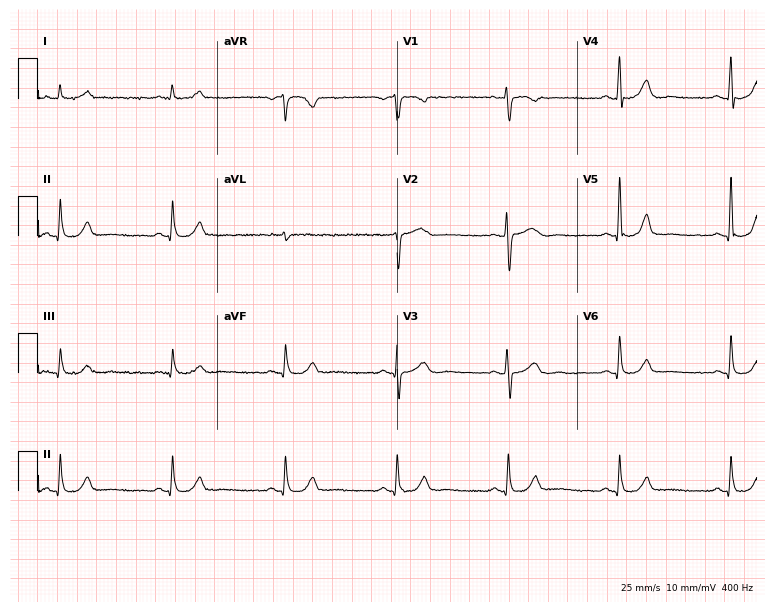
12-lead ECG (7.3-second recording at 400 Hz) from a 68-year-old man. Labelled as a normal ECG.